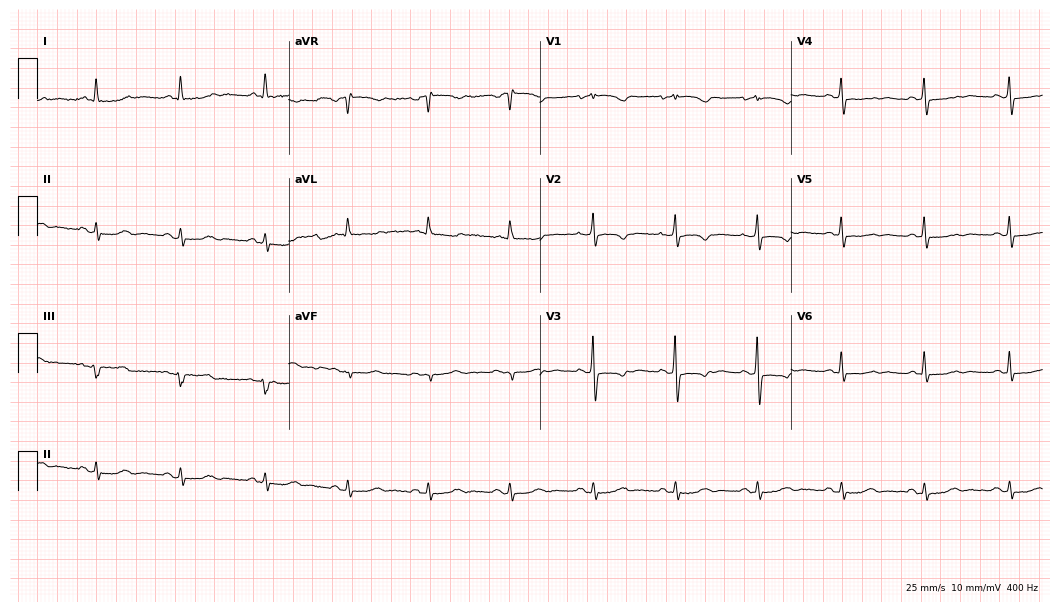
ECG — a female, 72 years old. Screened for six findings — first-degree AV block, right bundle branch block, left bundle branch block, sinus bradycardia, atrial fibrillation, sinus tachycardia — none is recorded.